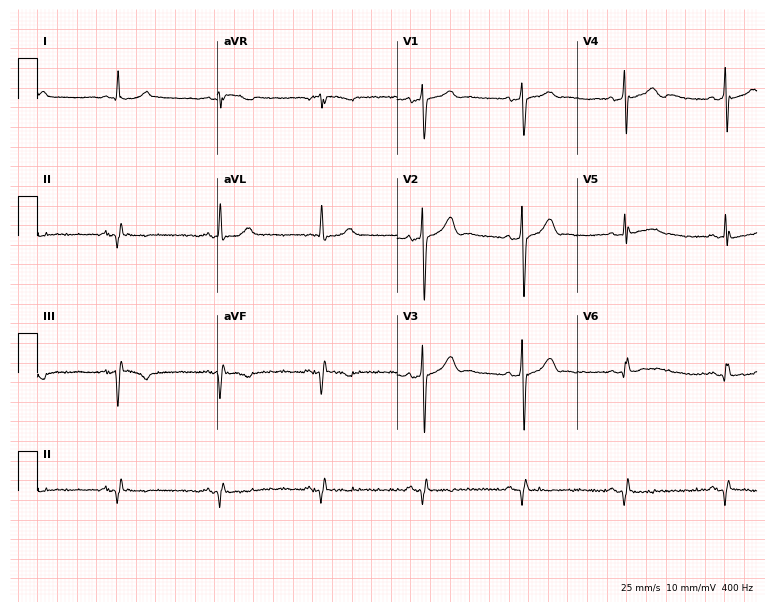
12-lead ECG (7.3-second recording at 400 Hz) from a male, 68 years old. Screened for six findings — first-degree AV block, right bundle branch block, left bundle branch block, sinus bradycardia, atrial fibrillation, sinus tachycardia — none is recorded.